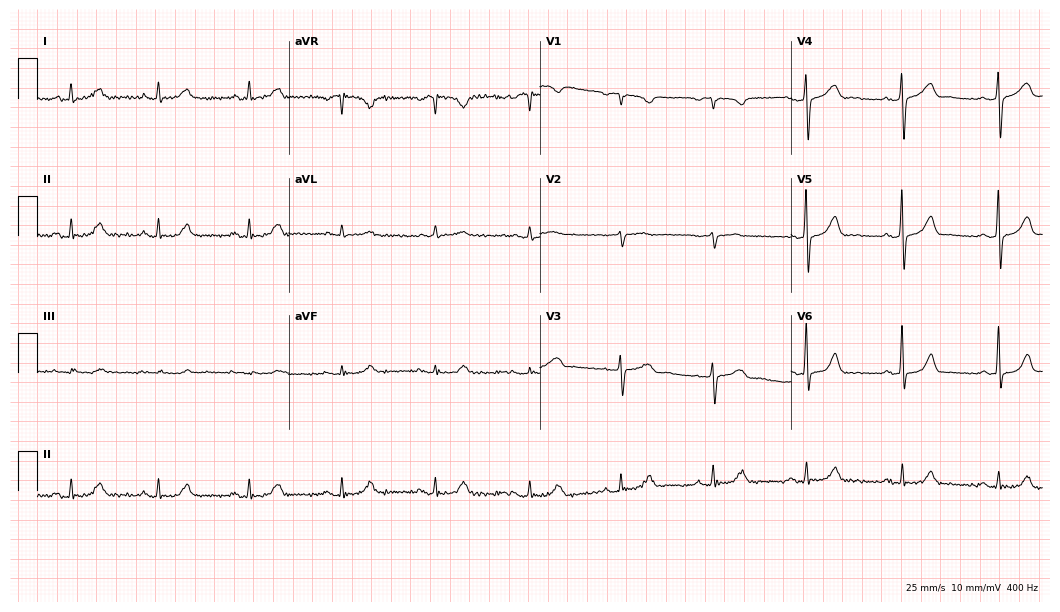
Resting 12-lead electrocardiogram. Patient: a 72-year-old female. Read as a normal ECG.